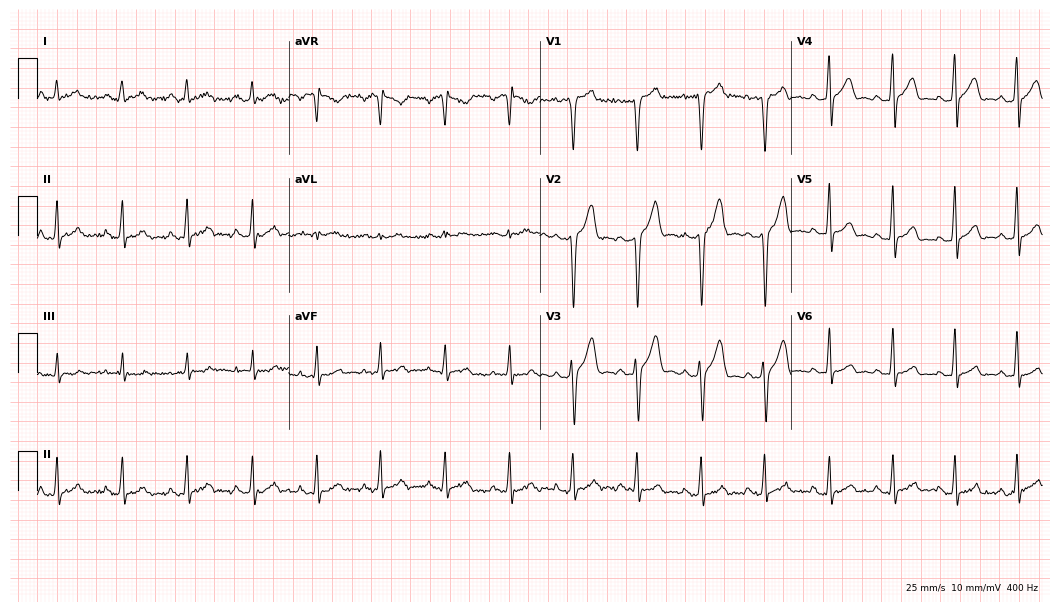
12-lead ECG from a 29-year-old male. Labelled as a normal ECG.